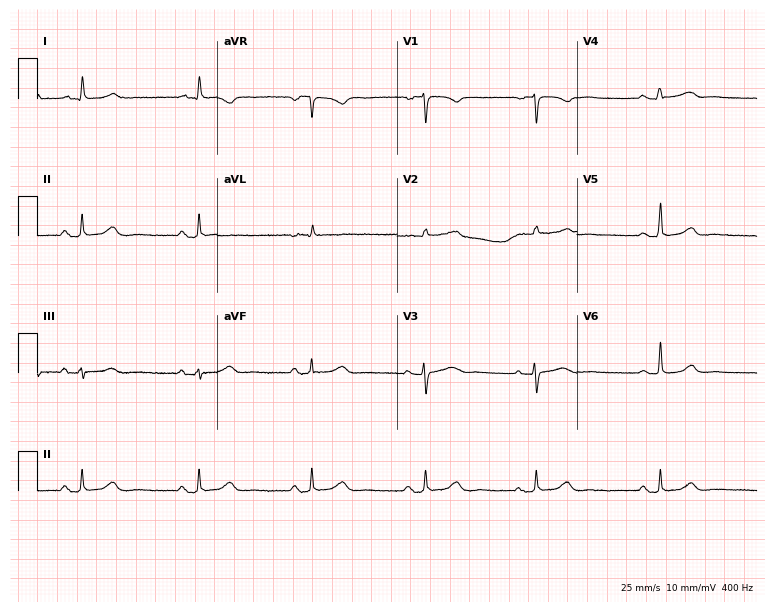
Electrocardiogram, a 68-year-old female. Of the six screened findings (first-degree AV block, right bundle branch block, left bundle branch block, sinus bradycardia, atrial fibrillation, sinus tachycardia), none is recorded.